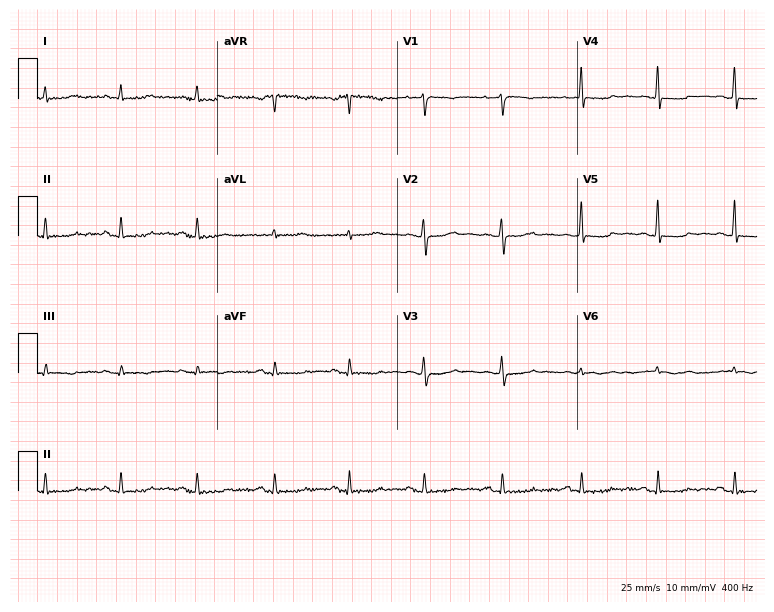
Electrocardiogram, a 58-year-old woman. Of the six screened findings (first-degree AV block, right bundle branch block (RBBB), left bundle branch block (LBBB), sinus bradycardia, atrial fibrillation (AF), sinus tachycardia), none is recorded.